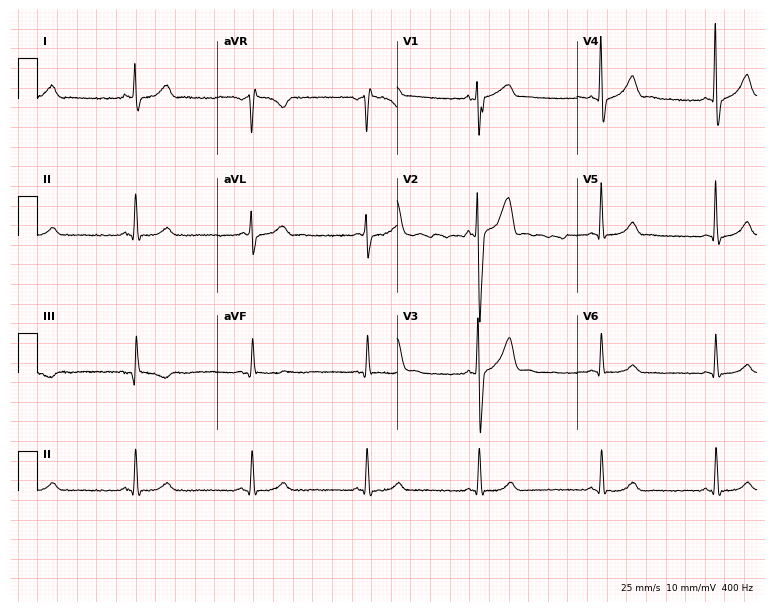
Electrocardiogram (7.3-second recording at 400 Hz), a 41-year-old male patient. Of the six screened findings (first-degree AV block, right bundle branch block (RBBB), left bundle branch block (LBBB), sinus bradycardia, atrial fibrillation (AF), sinus tachycardia), none is recorded.